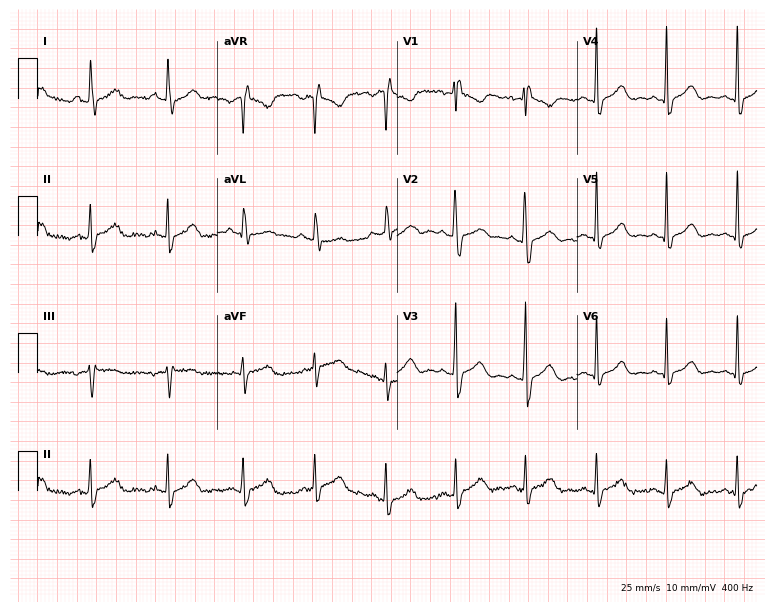
Standard 12-lead ECG recorded from a 33-year-old female patient. None of these six findings is recorded: first-degree AV block, right bundle branch block, left bundle branch block, sinus bradycardia, atrial fibrillation, sinus tachycardia.